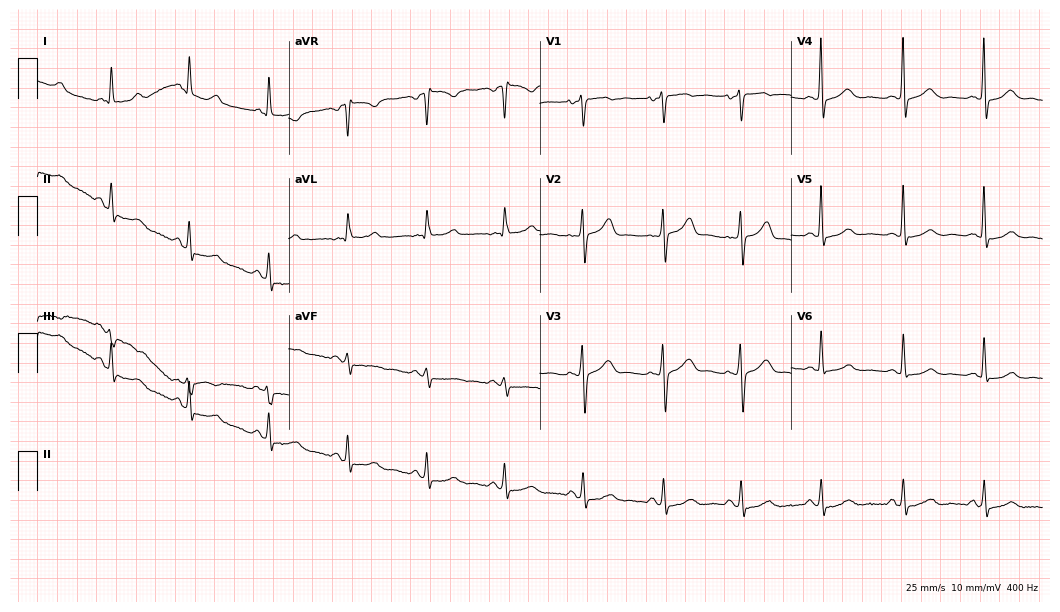
12-lead ECG (10.2-second recording at 400 Hz) from a 58-year-old woman. Labelled as a normal ECG.